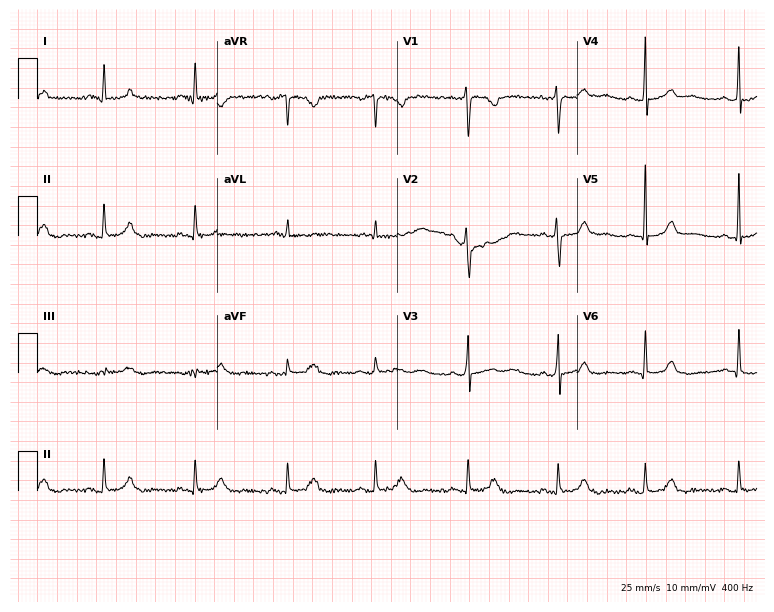
12-lead ECG from a female, 27 years old. Screened for six findings — first-degree AV block, right bundle branch block, left bundle branch block, sinus bradycardia, atrial fibrillation, sinus tachycardia — none is recorded.